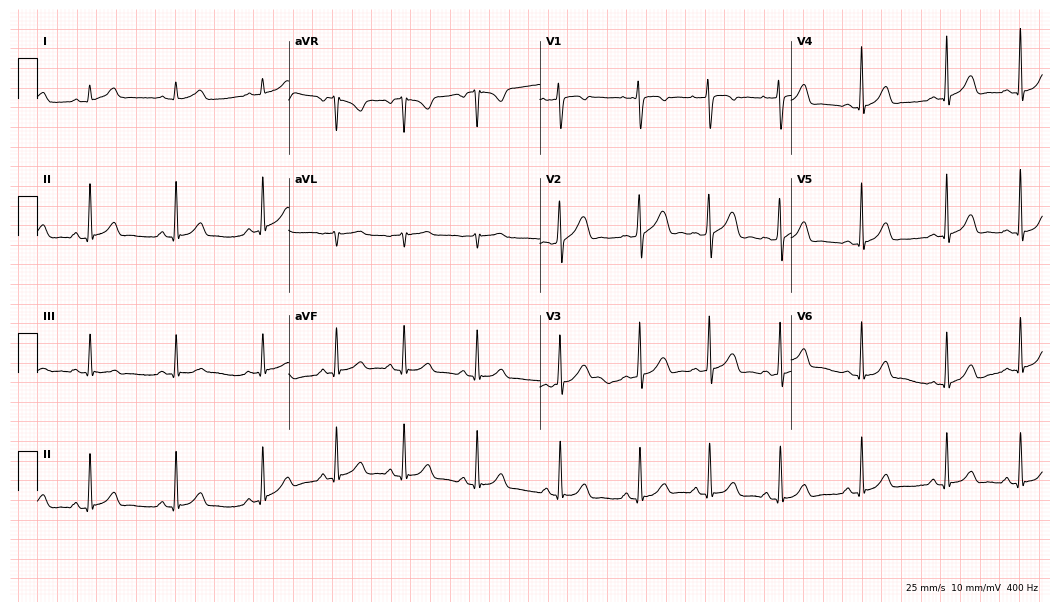
Electrocardiogram, a woman, 28 years old. Overall reading on record: normal ECG.